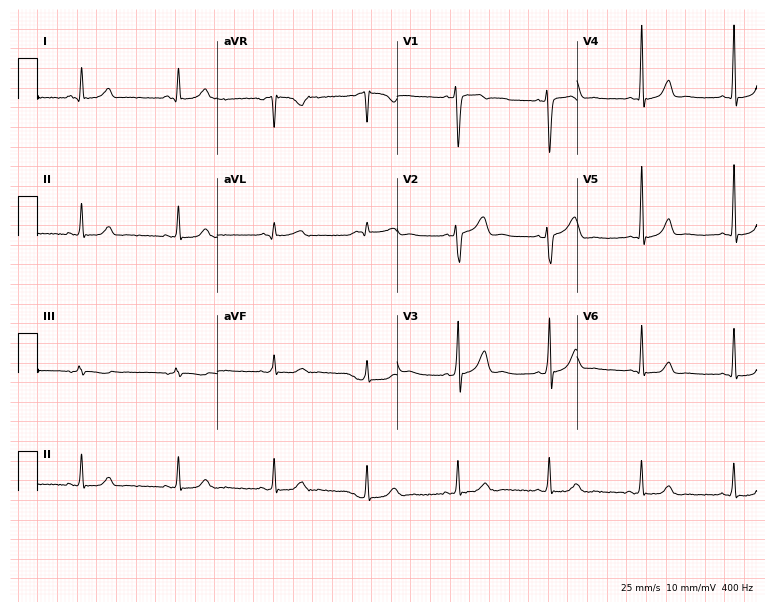
ECG (7.3-second recording at 400 Hz) — a female, 41 years old. Screened for six findings — first-degree AV block, right bundle branch block, left bundle branch block, sinus bradycardia, atrial fibrillation, sinus tachycardia — none is recorded.